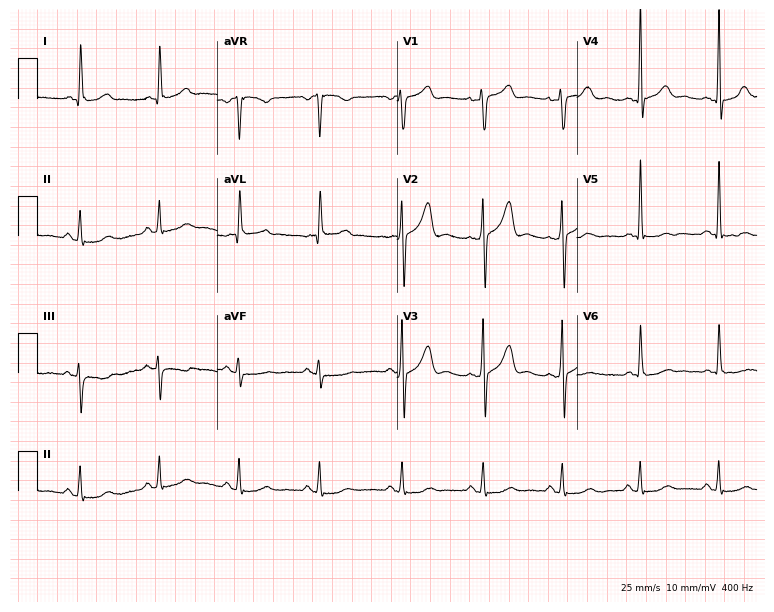
Resting 12-lead electrocardiogram. Patient: a man, 70 years old. None of these six findings is recorded: first-degree AV block, right bundle branch block, left bundle branch block, sinus bradycardia, atrial fibrillation, sinus tachycardia. Other findings, if any, are not listed.